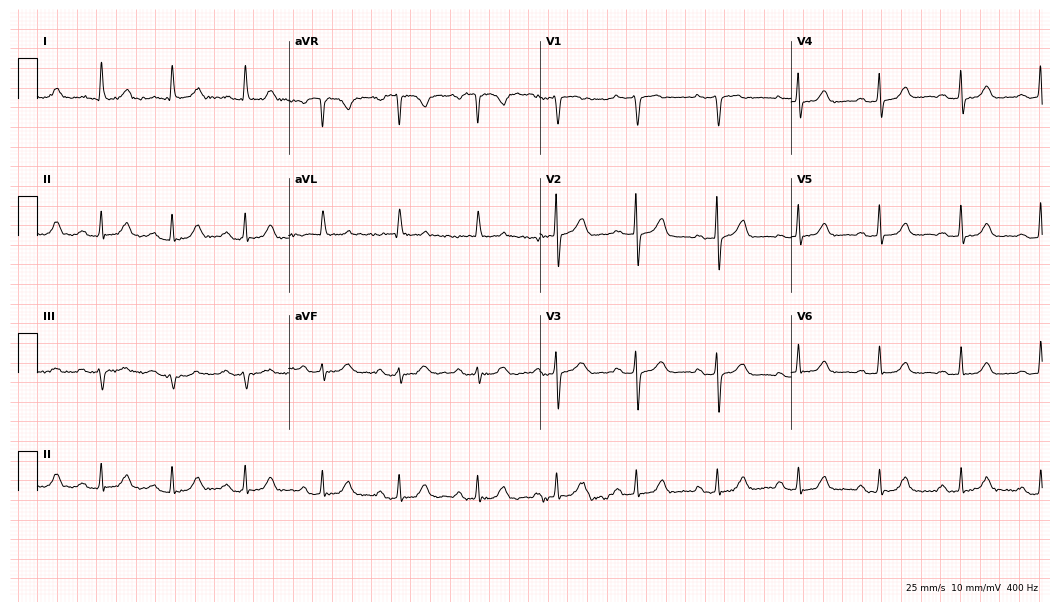
Electrocardiogram (10.2-second recording at 400 Hz), an 85-year-old female. Of the six screened findings (first-degree AV block, right bundle branch block (RBBB), left bundle branch block (LBBB), sinus bradycardia, atrial fibrillation (AF), sinus tachycardia), none is recorded.